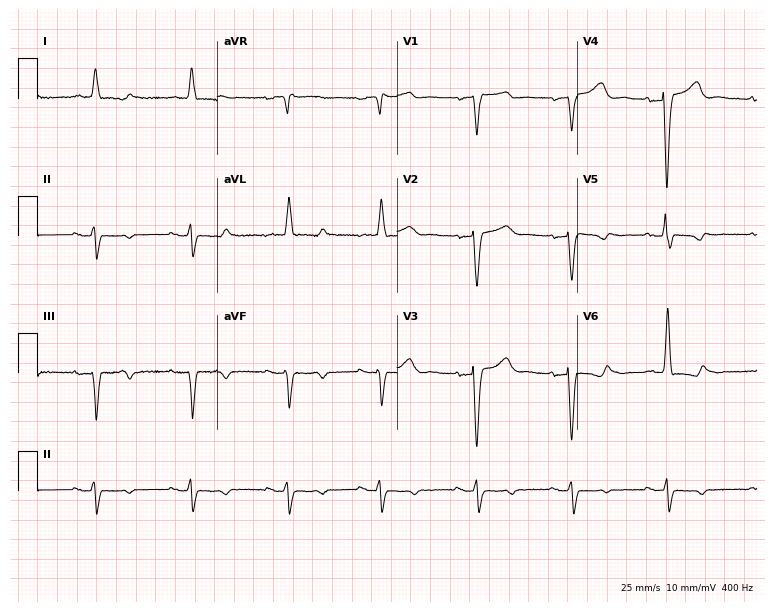
12-lead ECG from a man, 82 years old. No first-degree AV block, right bundle branch block (RBBB), left bundle branch block (LBBB), sinus bradycardia, atrial fibrillation (AF) or sinus tachycardia recorded for this tracing.